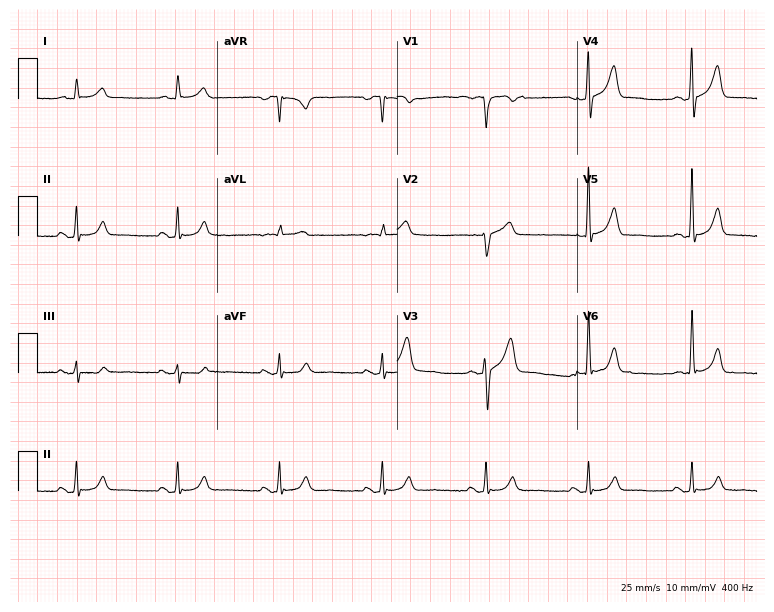
Resting 12-lead electrocardiogram (7.3-second recording at 400 Hz). Patient: a 65-year-old male. None of these six findings is recorded: first-degree AV block, right bundle branch block, left bundle branch block, sinus bradycardia, atrial fibrillation, sinus tachycardia. Findings outside these six are not listed.